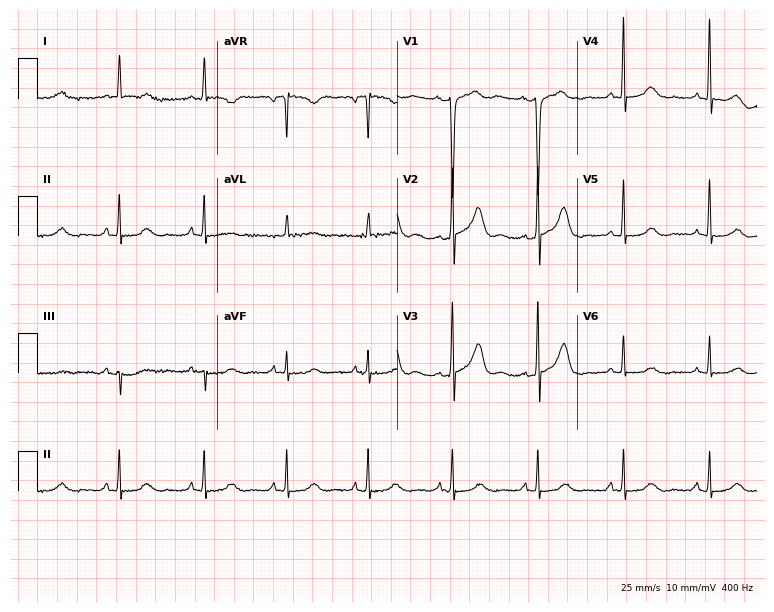
Electrocardiogram (7.3-second recording at 400 Hz), a woman, 73 years old. Overall reading on record: normal ECG.